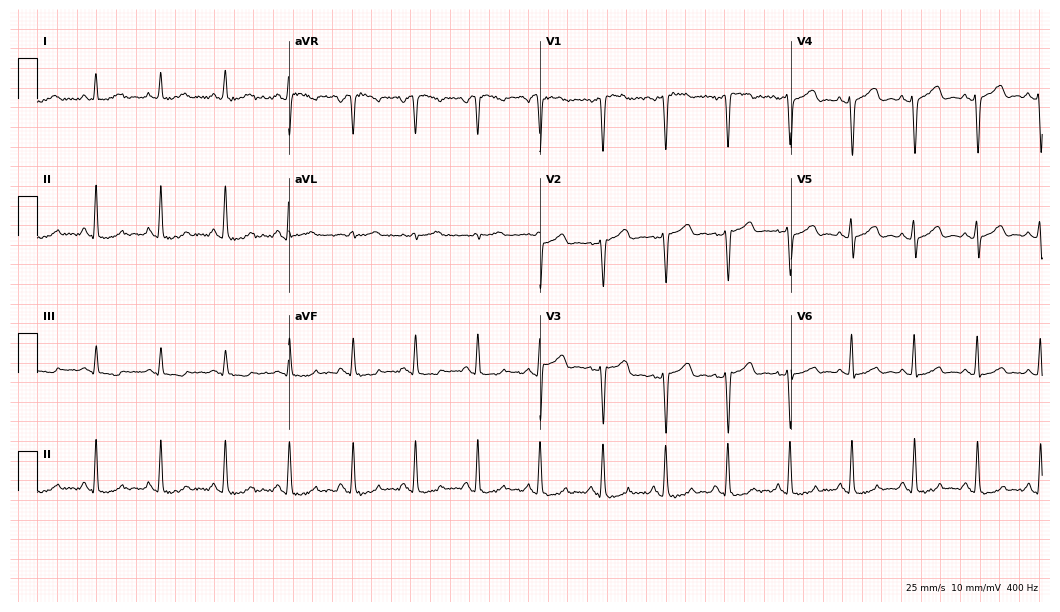
ECG (10.2-second recording at 400 Hz) — a 48-year-old female. Labelled as a normal ECG.